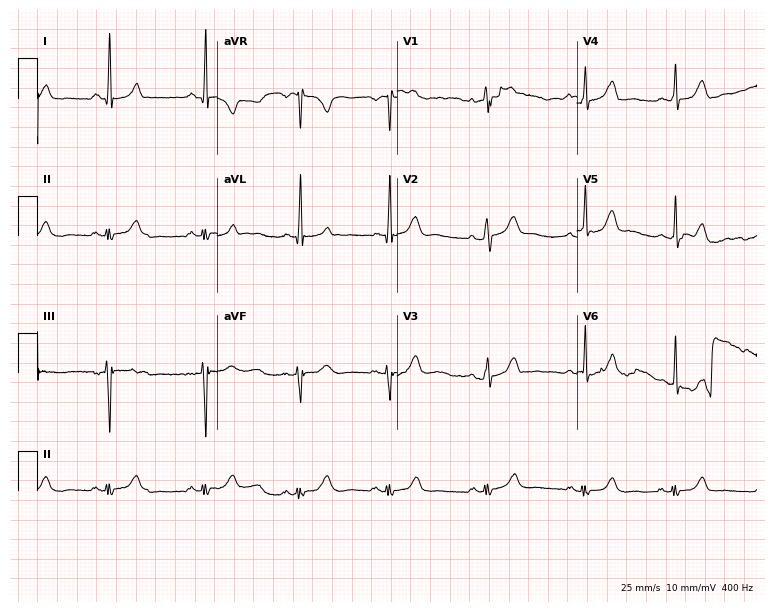
12-lead ECG from a 36-year-old female. Labelled as a normal ECG.